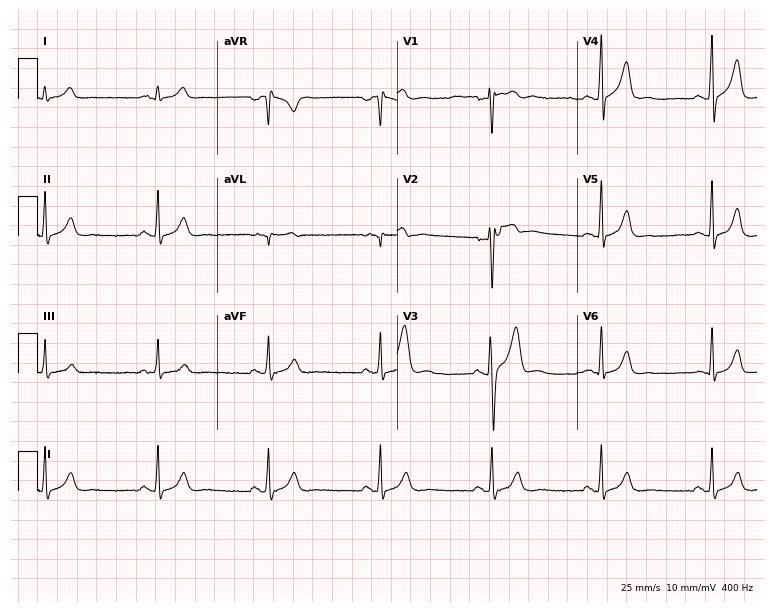
12-lead ECG from a 33-year-old male. Recorded interpretation: within normal limits.